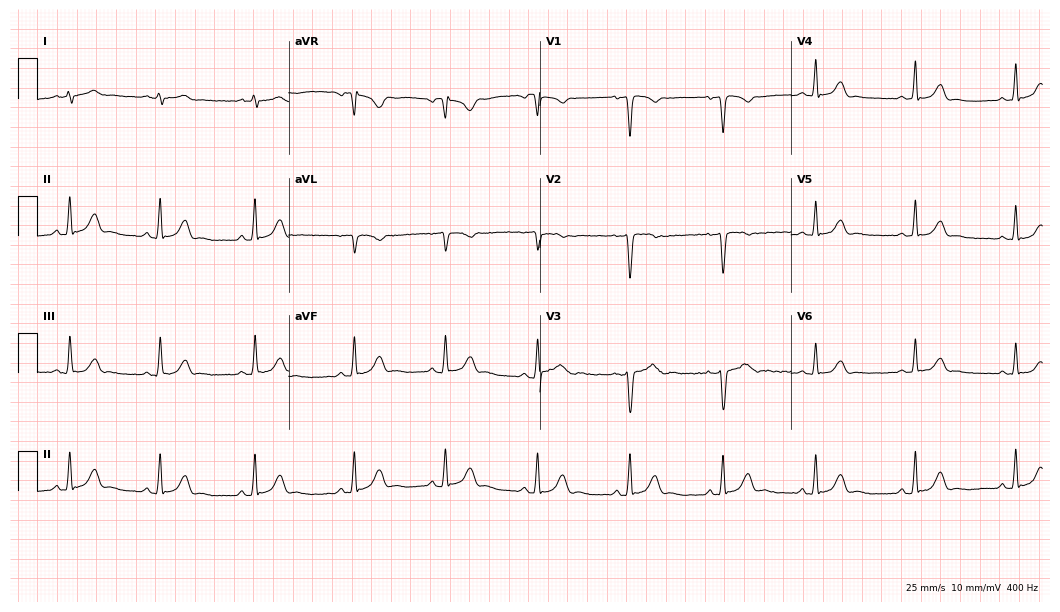
12-lead ECG from a 19-year-old woman. Labelled as a normal ECG.